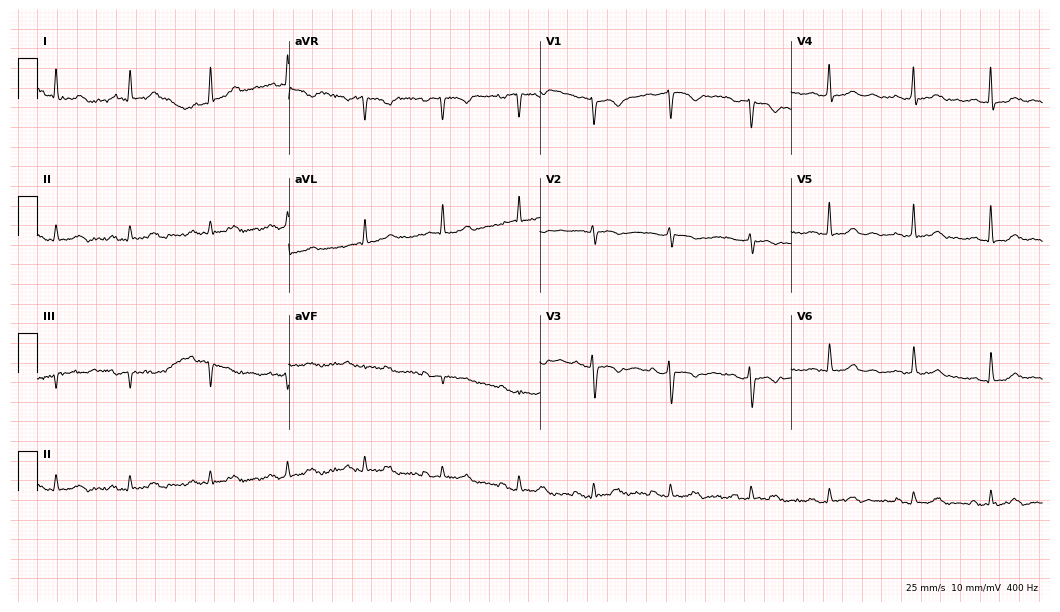
12-lead ECG from a 49-year-old woman (10.2-second recording at 400 Hz). Recorded interpretation: within normal limits.